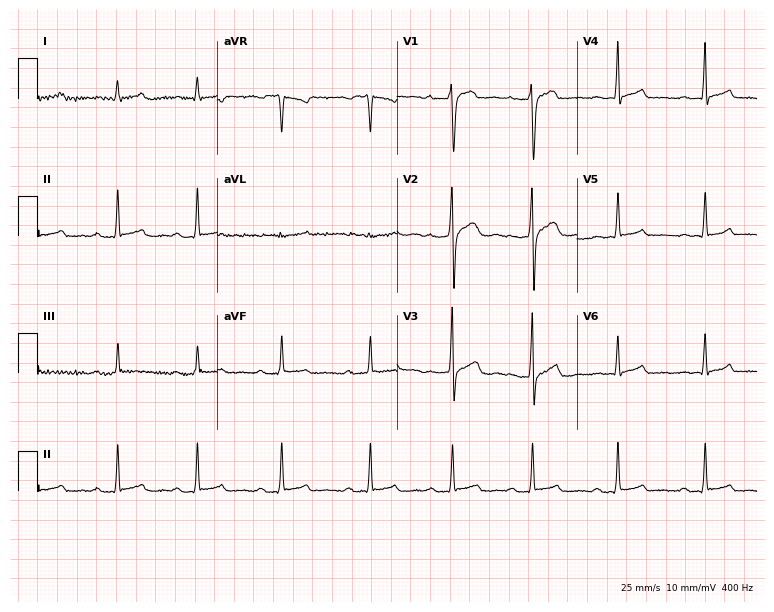
Resting 12-lead electrocardiogram. Patient: a 24-year-old male. None of these six findings is recorded: first-degree AV block, right bundle branch block, left bundle branch block, sinus bradycardia, atrial fibrillation, sinus tachycardia. Findings outside these six are not listed.